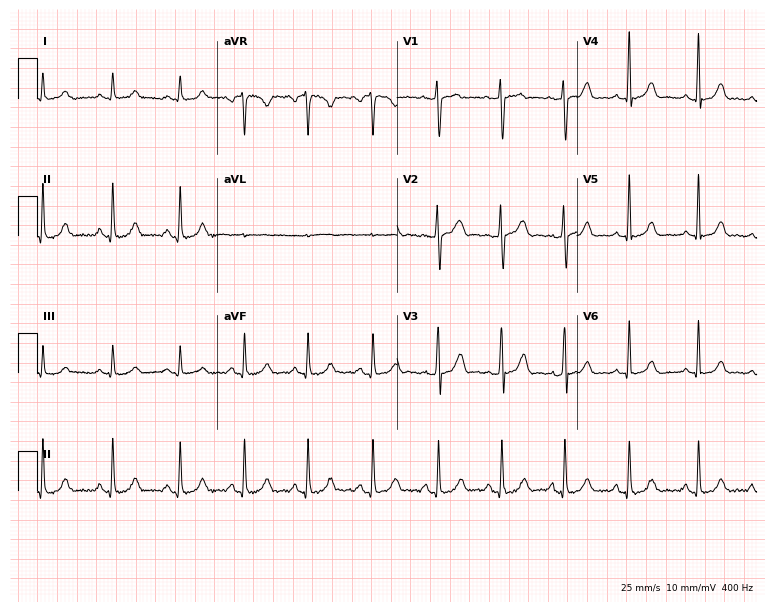
ECG (7.3-second recording at 400 Hz) — a 40-year-old woman. Labelled as a normal ECG.